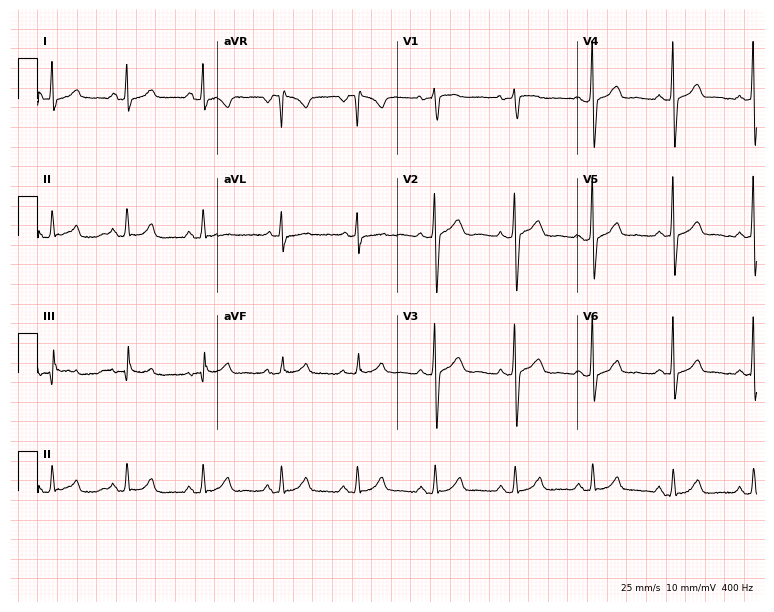
12-lead ECG (7.3-second recording at 400 Hz) from a woman, 27 years old. Labelled as a normal ECG.